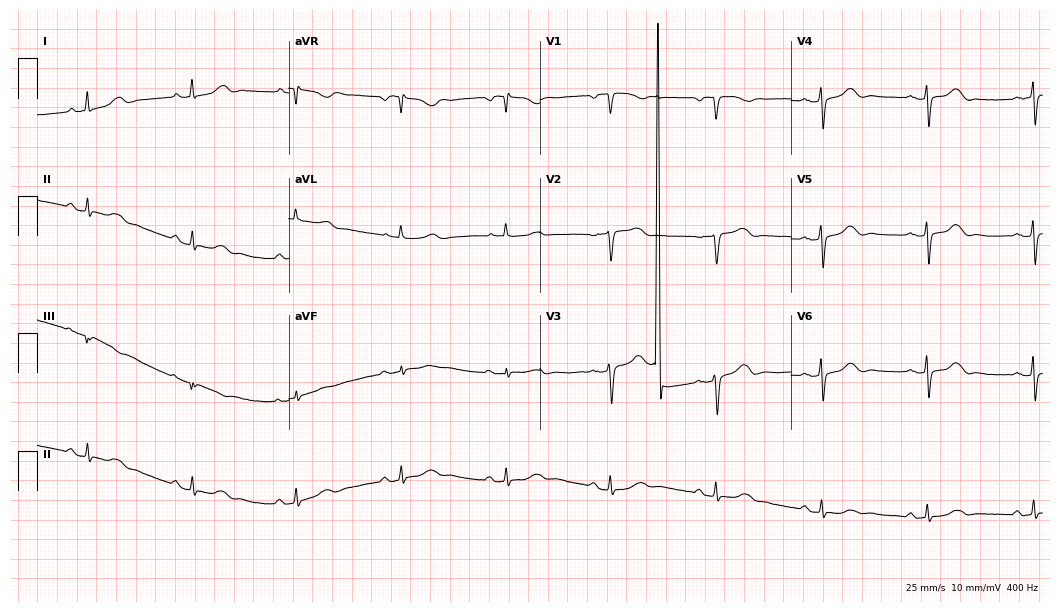
Standard 12-lead ECG recorded from a 69-year-old female patient. Read as a normal ECG.